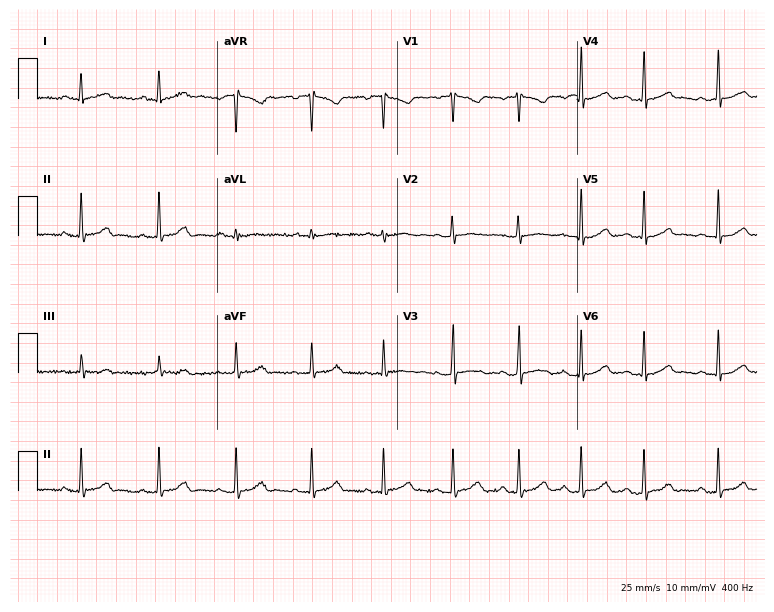
12-lead ECG (7.3-second recording at 400 Hz) from a 21-year-old female patient. Labelled as a normal ECG.